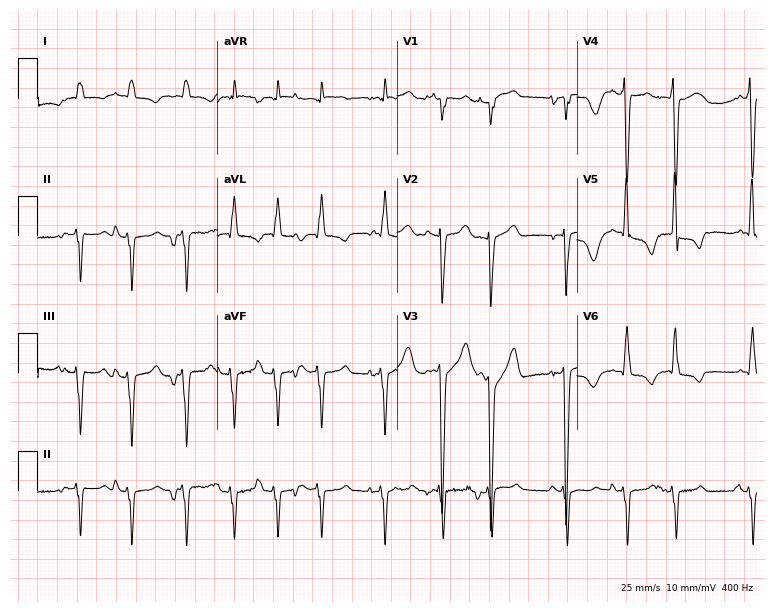
Resting 12-lead electrocardiogram (7.3-second recording at 400 Hz). Patient: a 79-year-old man. None of these six findings is recorded: first-degree AV block, right bundle branch block, left bundle branch block, sinus bradycardia, atrial fibrillation, sinus tachycardia.